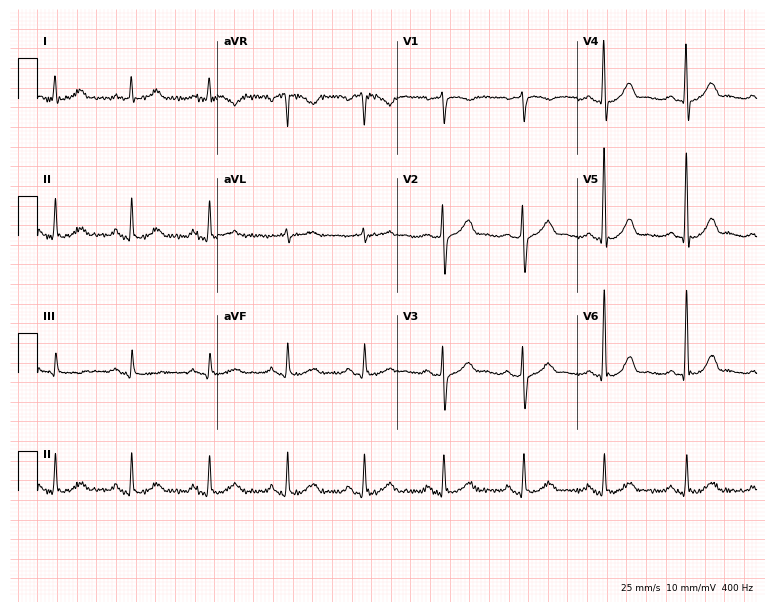
Standard 12-lead ECG recorded from a 56-year-old man. Read as a normal ECG.